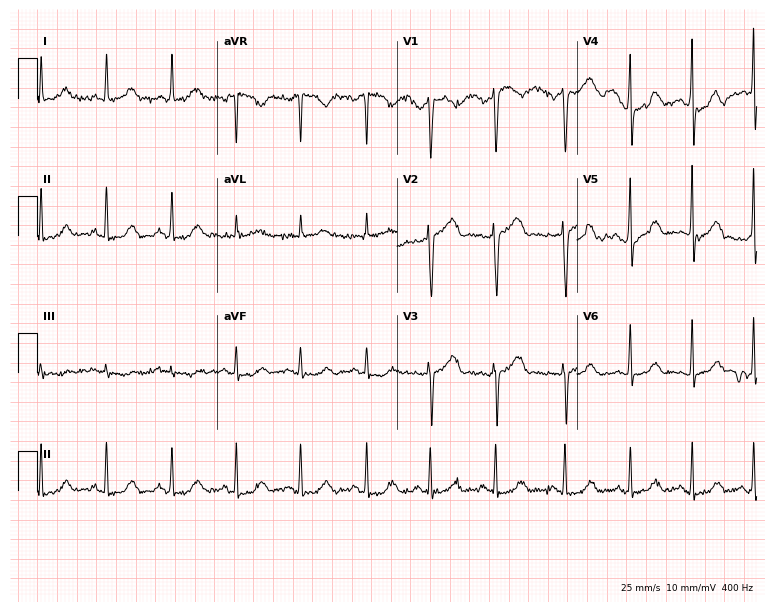
12-lead ECG from a 41-year-old female. No first-degree AV block, right bundle branch block, left bundle branch block, sinus bradycardia, atrial fibrillation or sinus tachycardia recorded for this tracing. Other findings, if any, are not listed.